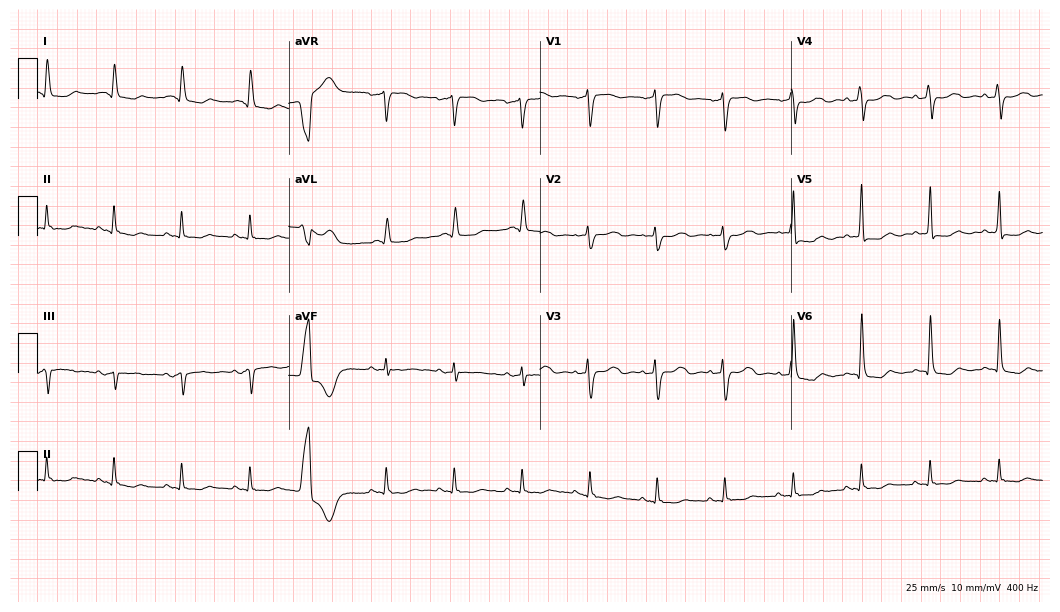
ECG (10.2-second recording at 400 Hz) — an 81-year-old female patient. Screened for six findings — first-degree AV block, right bundle branch block (RBBB), left bundle branch block (LBBB), sinus bradycardia, atrial fibrillation (AF), sinus tachycardia — none is recorded.